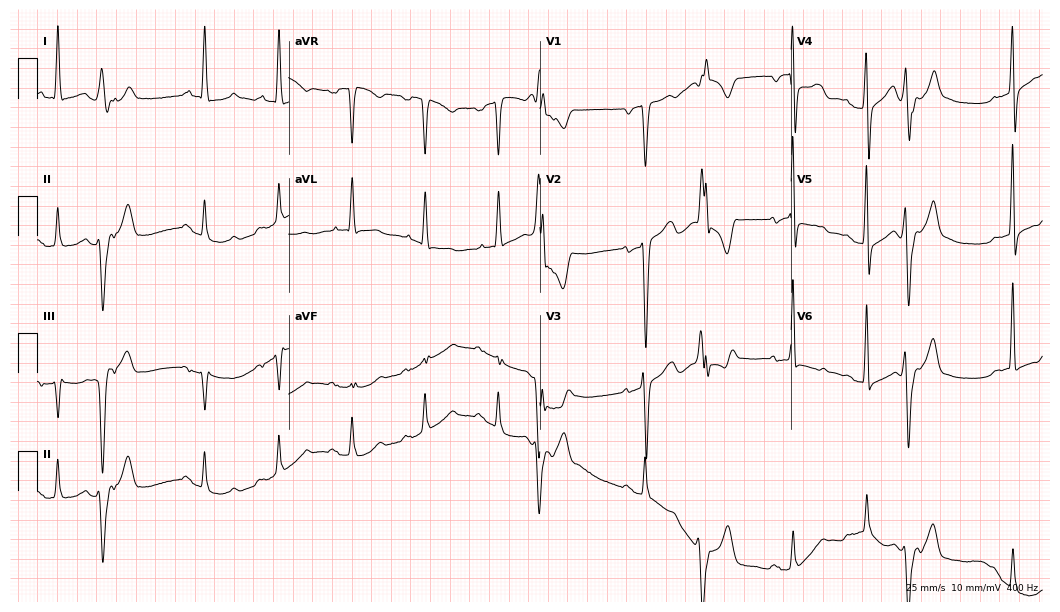
Standard 12-lead ECG recorded from an 85-year-old female patient. None of these six findings is recorded: first-degree AV block, right bundle branch block, left bundle branch block, sinus bradycardia, atrial fibrillation, sinus tachycardia. Only these six findings were labelled.